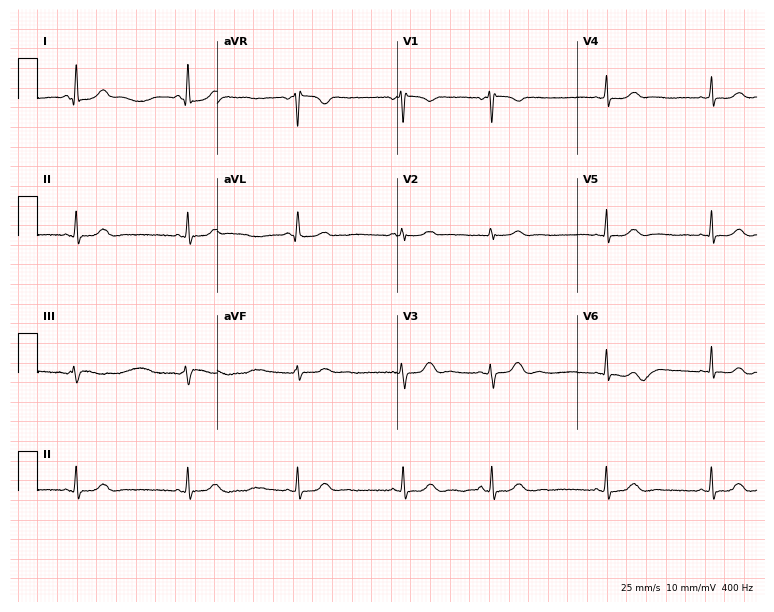
12-lead ECG from a woman, 22 years old. Labelled as a normal ECG.